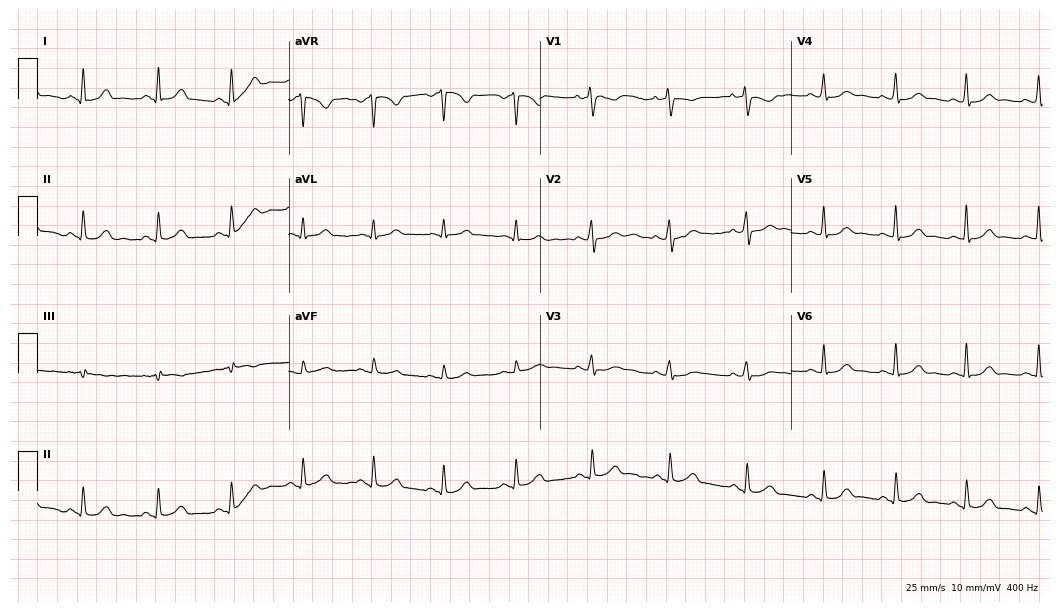
Standard 12-lead ECG recorded from a female patient, 38 years old. Read as a normal ECG.